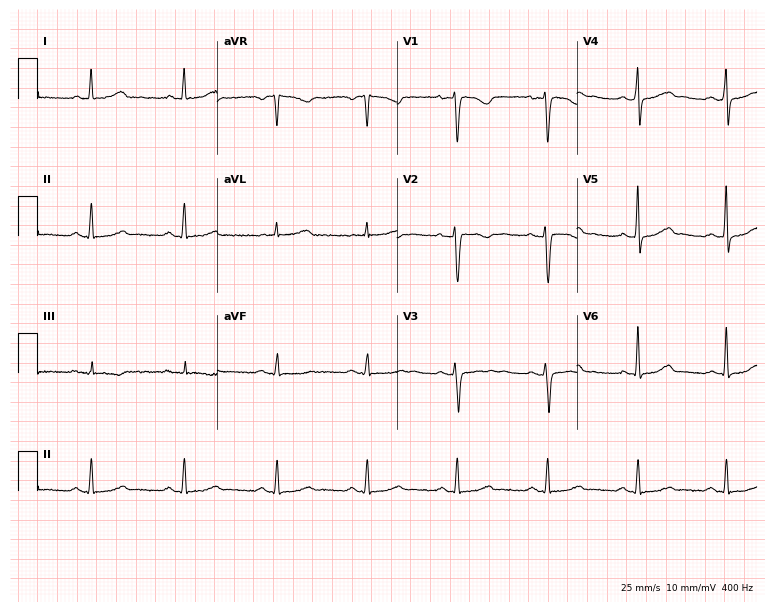
12-lead ECG from a 37-year-old female patient (7.3-second recording at 400 Hz). No first-degree AV block, right bundle branch block (RBBB), left bundle branch block (LBBB), sinus bradycardia, atrial fibrillation (AF) or sinus tachycardia recorded for this tracing. Only these six findings were labelled.